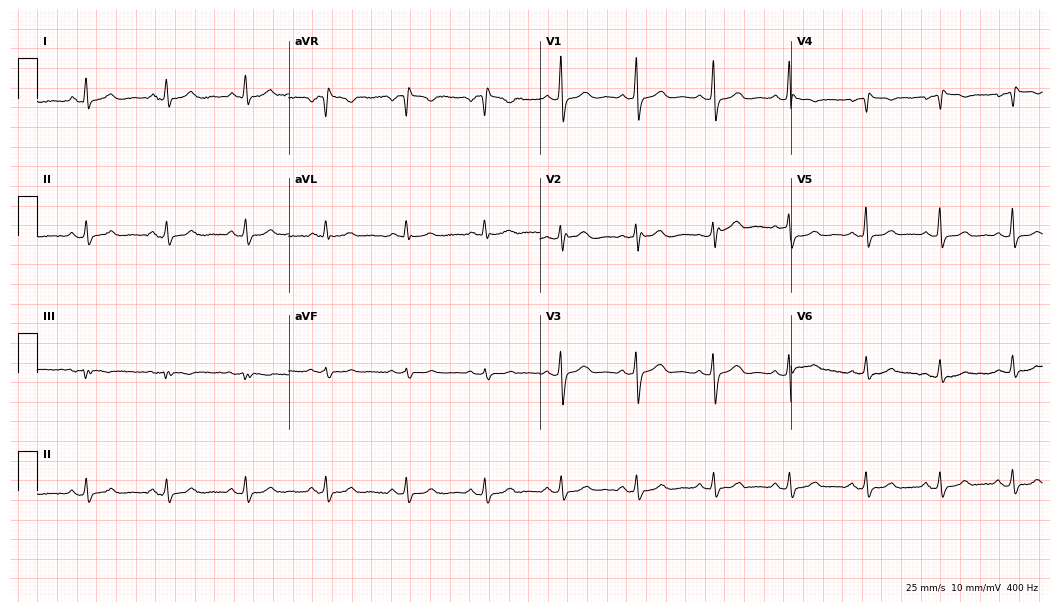
Resting 12-lead electrocardiogram. Patient: a woman, 56 years old. None of these six findings is recorded: first-degree AV block, right bundle branch block, left bundle branch block, sinus bradycardia, atrial fibrillation, sinus tachycardia.